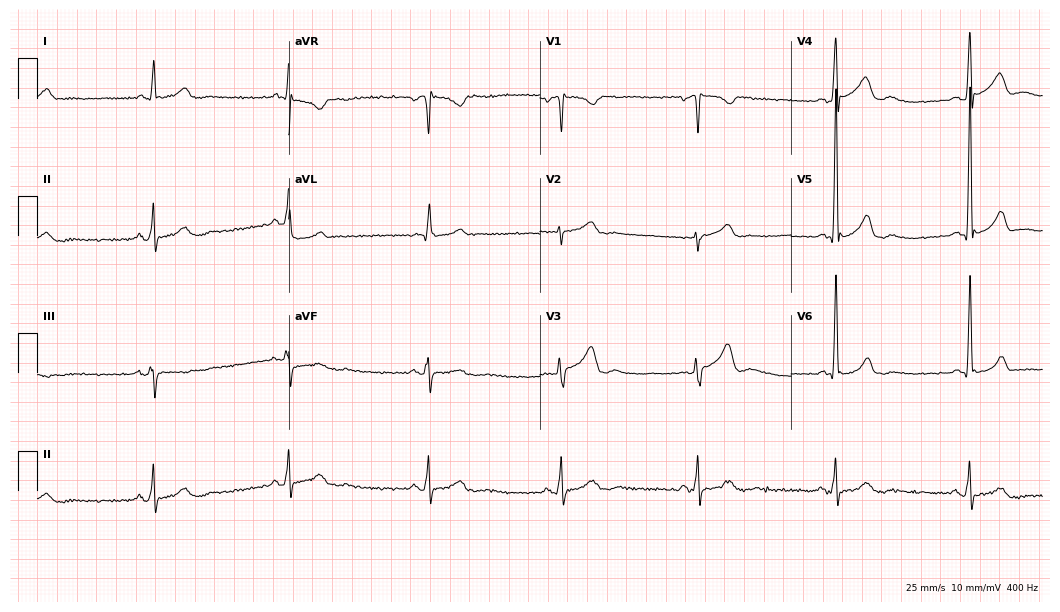
Electrocardiogram, a 67-year-old female. Interpretation includes sinus bradycardia (a sinus rate of 50 beats per minute or less).